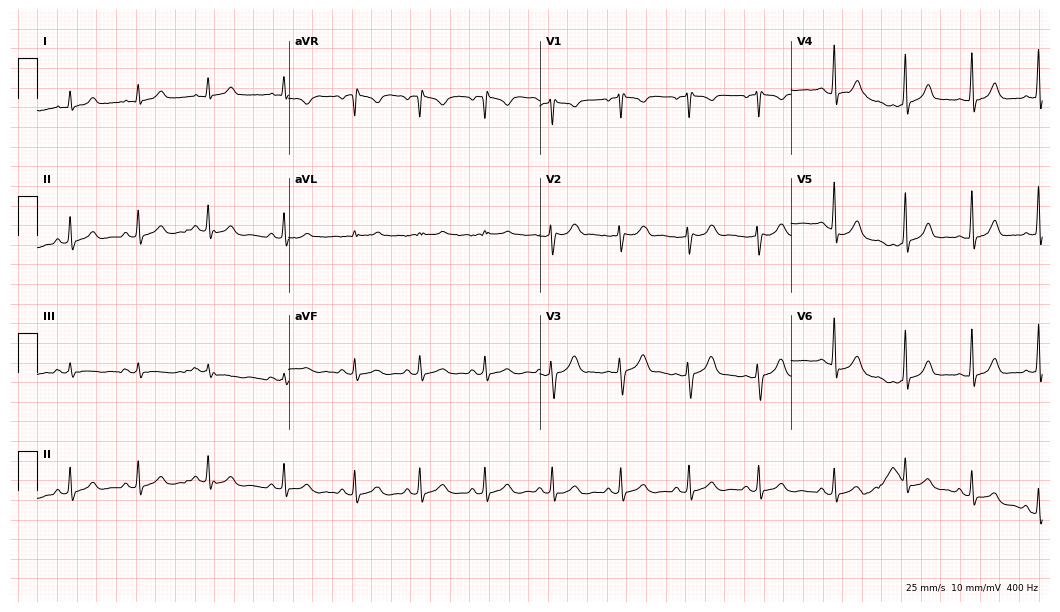
12-lead ECG from a 23-year-old woman (10.2-second recording at 400 Hz). Recorded interpretation: within normal limits.